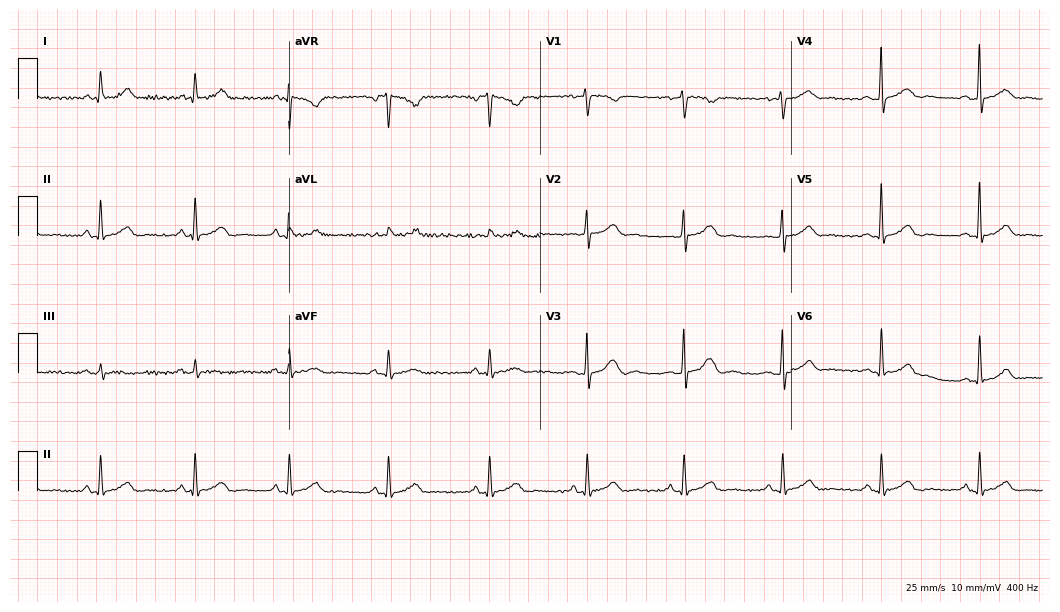
ECG — a woman, 50 years old. Screened for six findings — first-degree AV block, right bundle branch block, left bundle branch block, sinus bradycardia, atrial fibrillation, sinus tachycardia — none is recorded. Other findings, if any, are not listed.